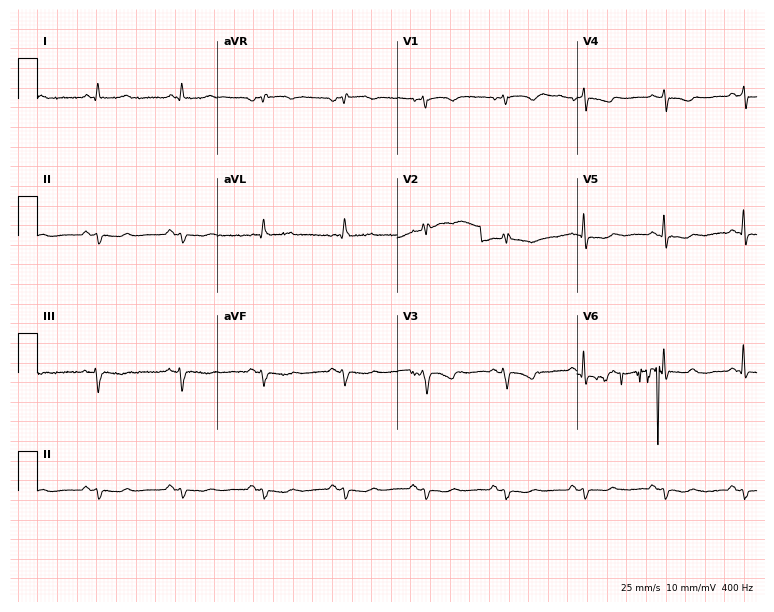
Standard 12-lead ECG recorded from a female patient, 59 years old. None of these six findings is recorded: first-degree AV block, right bundle branch block (RBBB), left bundle branch block (LBBB), sinus bradycardia, atrial fibrillation (AF), sinus tachycardia.